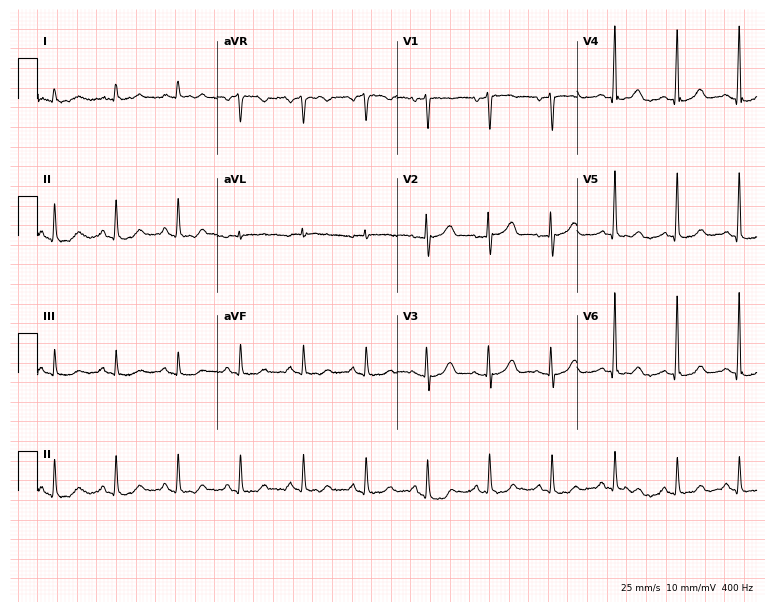
Resting 12-lead electrocardiogram (7.3-second recording at 400 Hz). Patient: a female, 74 years old. None of these six findings is recorded: first-degree AV block, right bundle branch block, left bundle branch block, sinus bradycardia, atrial fibrillation, sinus tachycardia. Only these six findings were labelled.